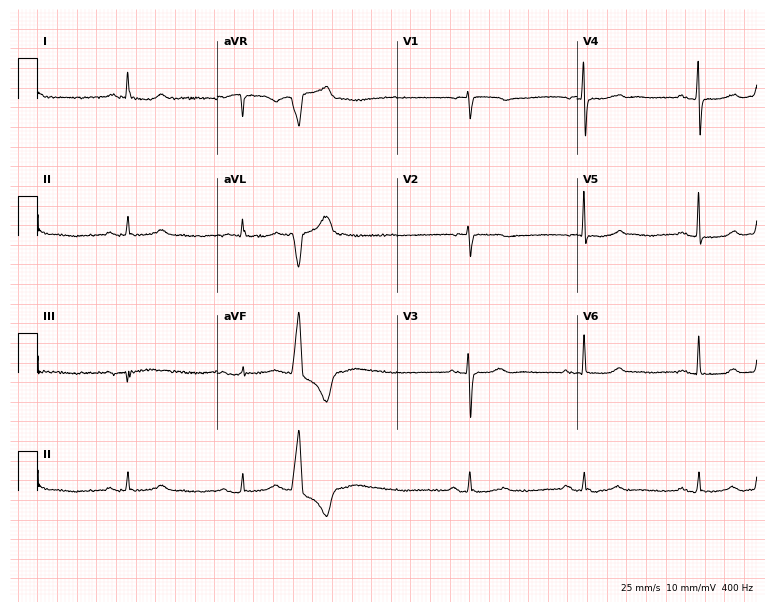
ECG — a female patient, 69 years old. Screened for six findings — first-degree AV block, right bundle branch block, left bundle branch block, sinus bradycardia, atrial fibrillation, sinus tachycardia — none is recorded. Other findings, if any, are not listed.